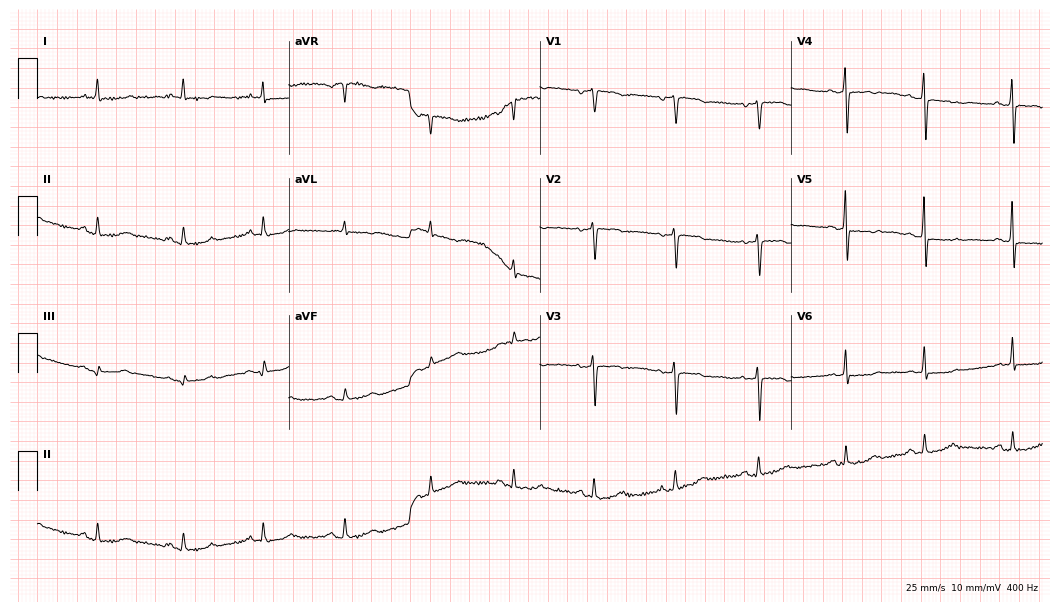
ECG (10.2-second recording at 400 Hz) — a female patient, 78 years old. Screened for six findings — first-degree AV block, right bundle branch block, left bundle branch block, sinus bradycardia, atrial fibrillation, sinus tachycardia — none is recorded. Findings outside these six are not listed.